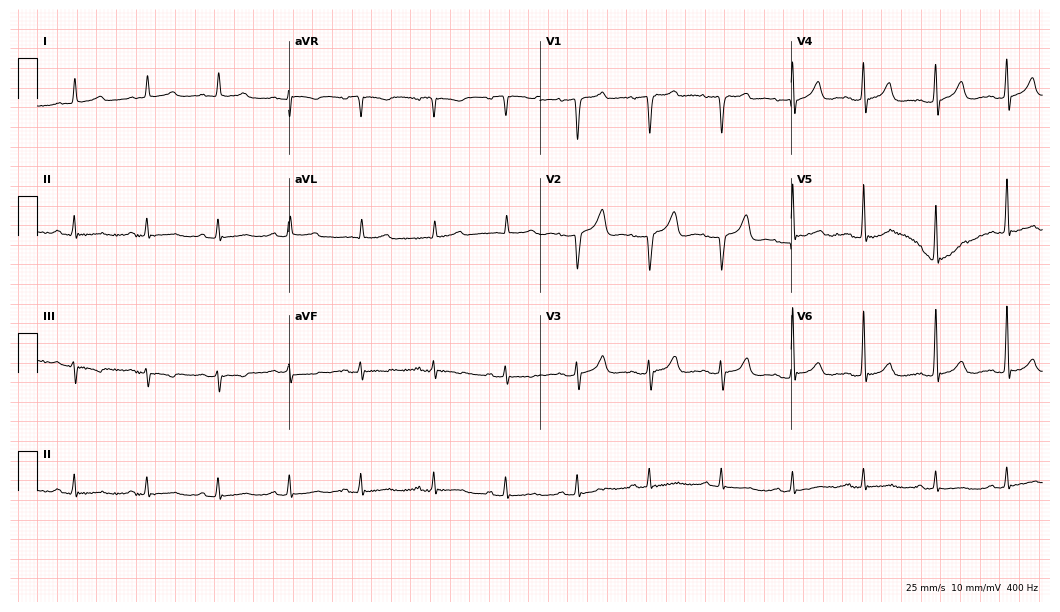
Electrocardiogram, a 75-year-old man. Of the six screened findings (first-degree AV block, right bundle branch block, left bundle branch block, sinus bradycardia, atrial fibrillation, sinus tachycardia), none is recorded. Findings outside these six are not listed.